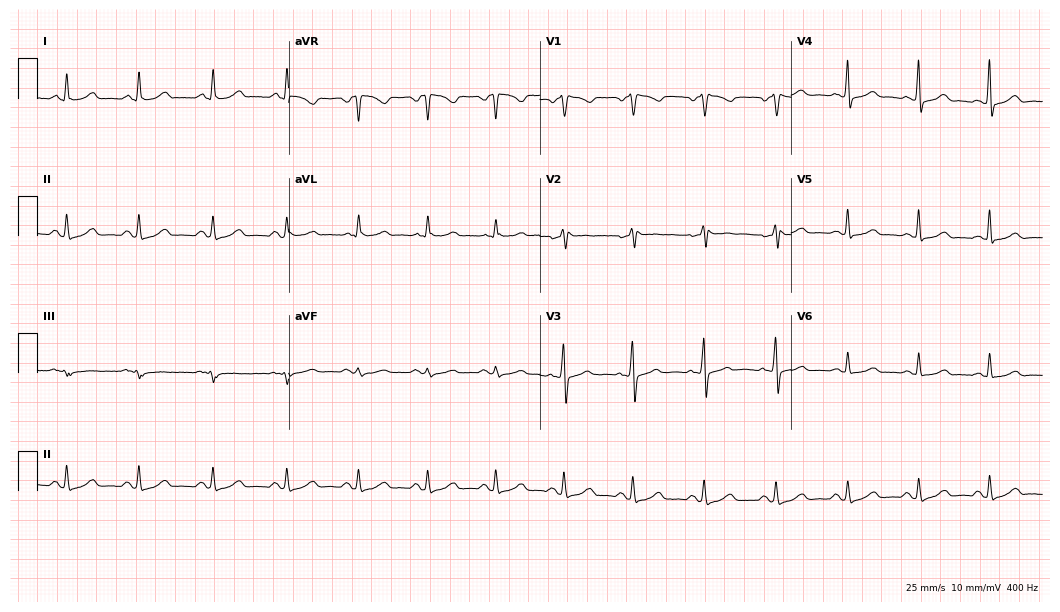
12-lead ECG from a 54-year-old woman. No first-degree AV block, right bundle branch block (RBBB), left bundle branch block (LBBB), sinus bradycardia, atrial fibrillation (AF) or sinus tachycardia recorded for this tracing. Findings outside these six are not listed.